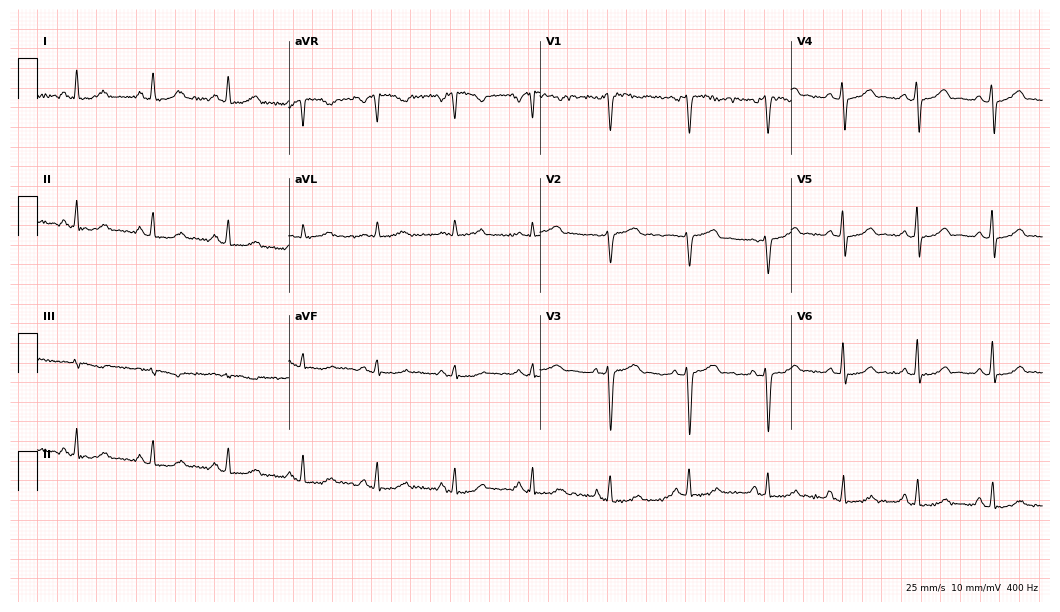
ECG (10.2-second recording at 400 Hz) — a female, 47 years old. Labelled as a normal ECG.